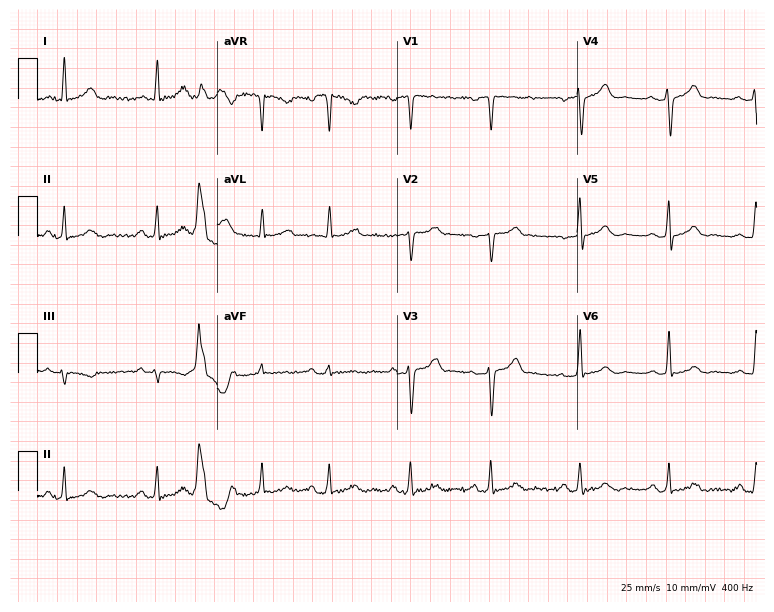
12-lead ECG (7.3-second recording at 400 Hz) from a woman, 51 years old. Screened for six findings — first-degree AV block, right bundle branch block, left bundle branch block, sinus bradycardia, atrial fibrillation, sinus tachycardia — none is recorded.